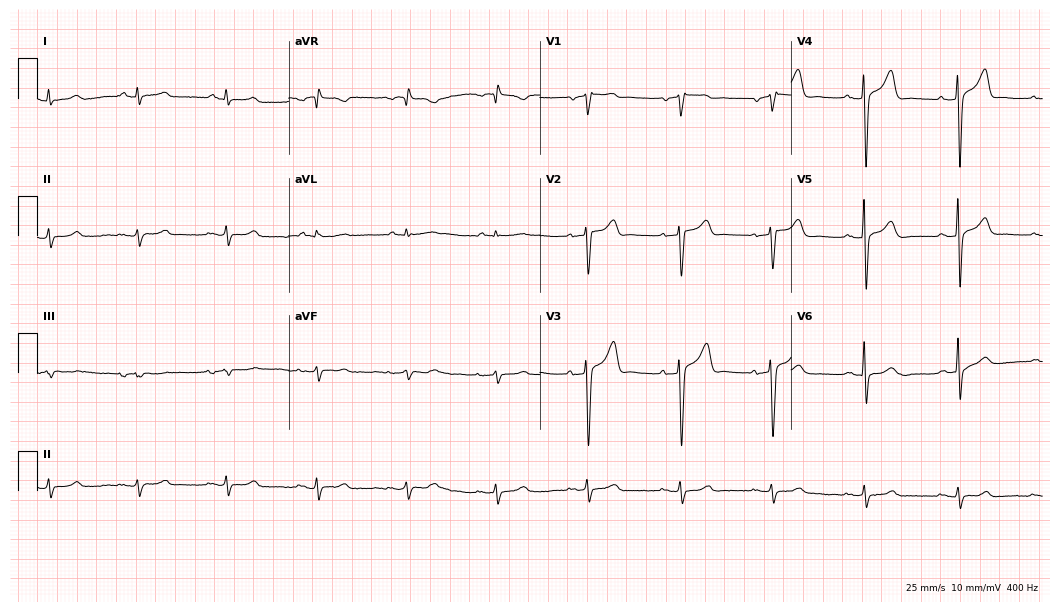
ECG — a male, 72 years old. Screened for six findings — first-degree AV block, right bundle branch block, left bundle branch block, sinus bradycardia, atrial fibrillation, sinus tachycardia — none is recorded.